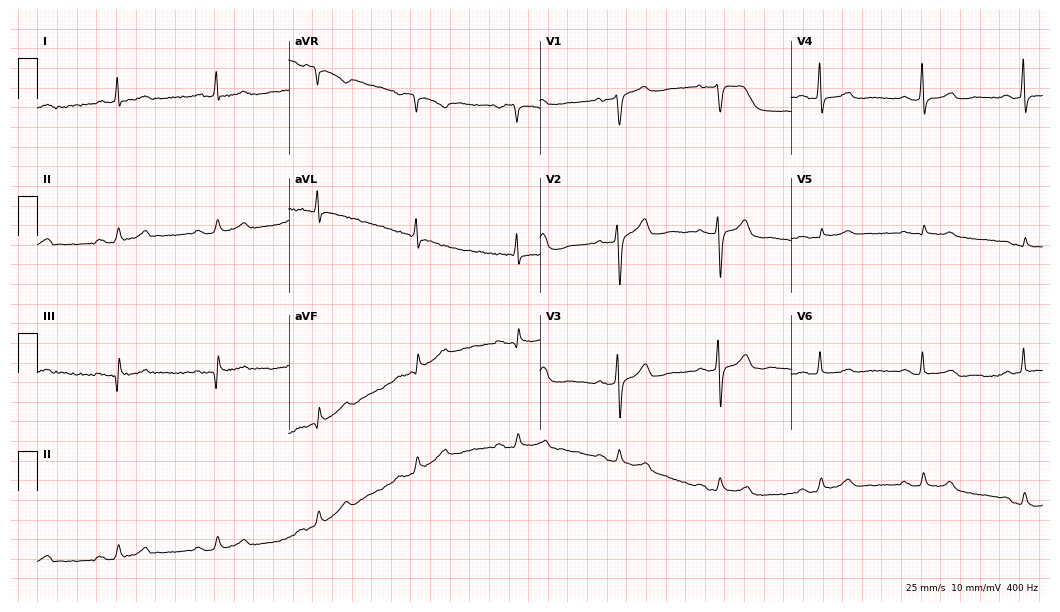
Standard 12-lead ECG recorded from a 77-year-old woman. Read as a normal ECG.